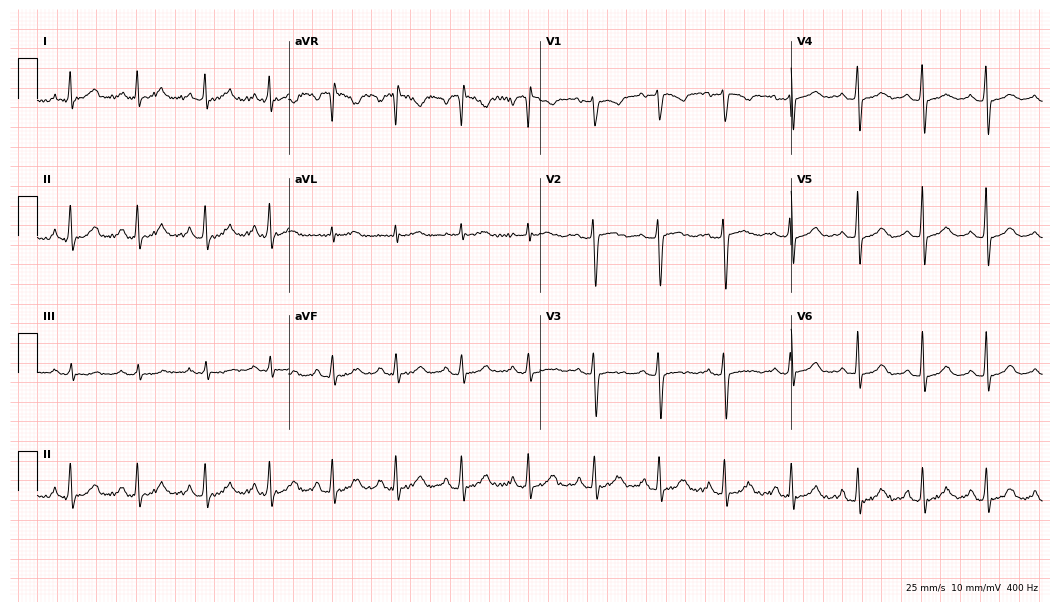
ECG (10.2-second recording at 400 Hz) — a 50-year-old woman. Screened for six findings — first-degree AV block, right bundle branch block, left bundle branch block, sinus bradycardia, atrial fibrillation, sinus tachycardia — none is recorded.